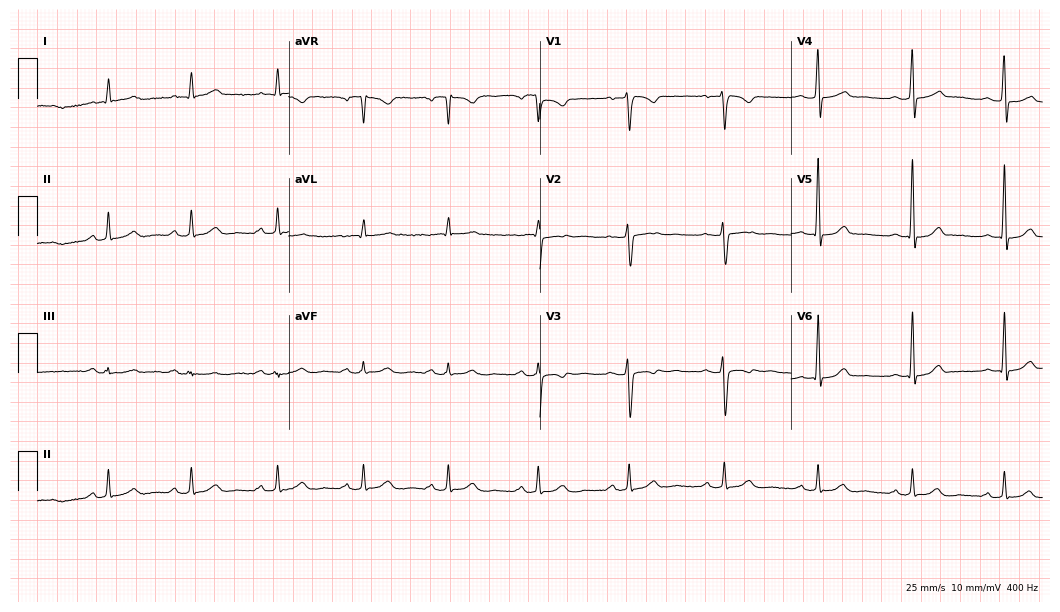
Standard 12-lead ECG recorded from a female, 43 years old. Read as a normal ECG.